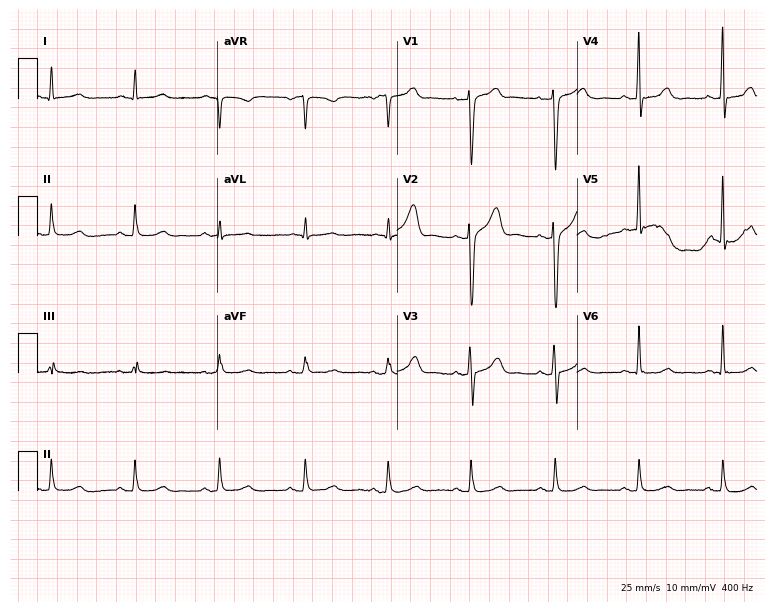
Standard 12-lead ECG recorded from a male patient, 62 years old. Read as a normal ECG.